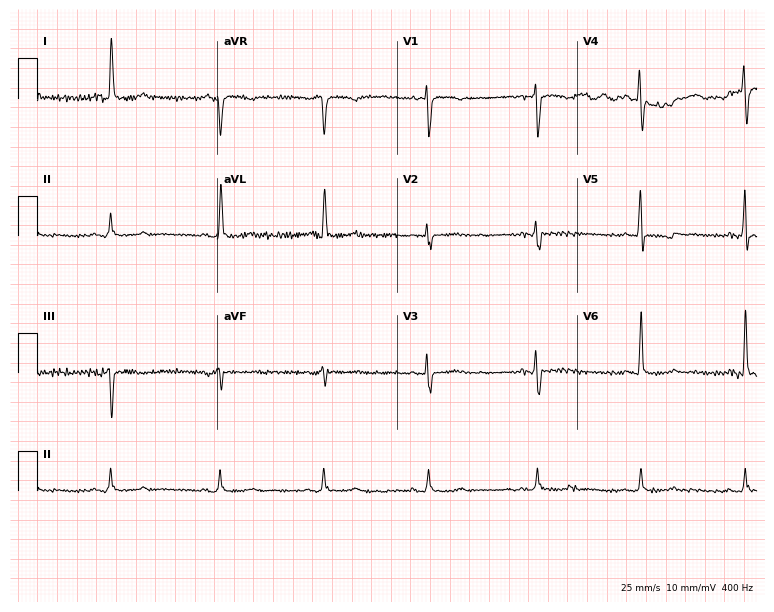
Electrocardiogram, a female, 69 years old. Of the six screened findings (first-degree AV block, right bundle branch block, left bundle branch block, sinus bradycardia, atrial fibrillation, sinus tachycardia), none is recorded. Other findings, if any, are not listed.